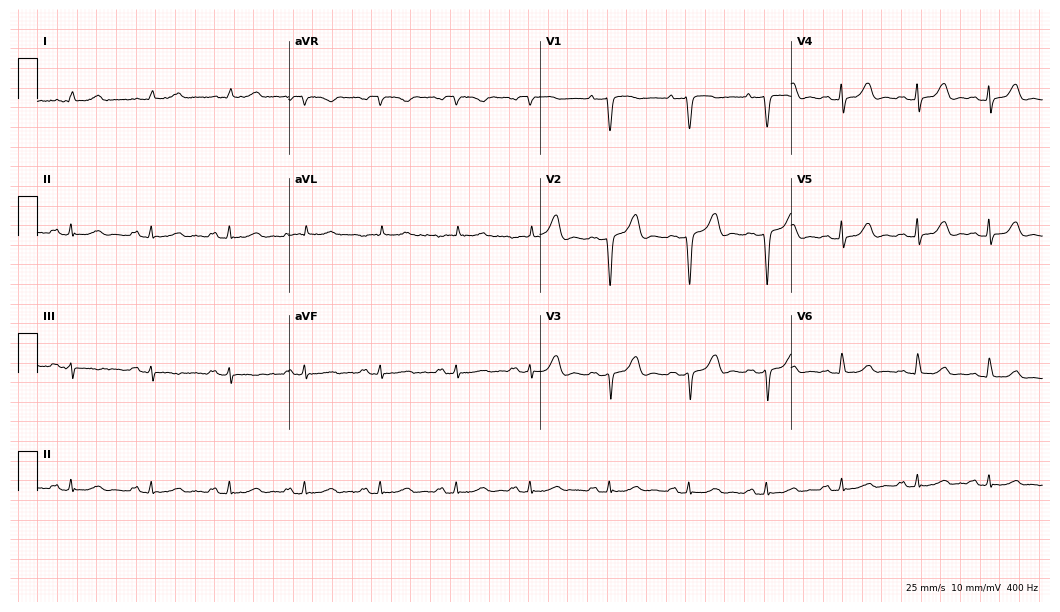
ECG — a female, 54 years old. Screened for six findings — first-degree AV block, right bundle branch block, left bundle branch block, sinus bradycardia, atrial fibrillation, sinus tachycardia — none is recorded.